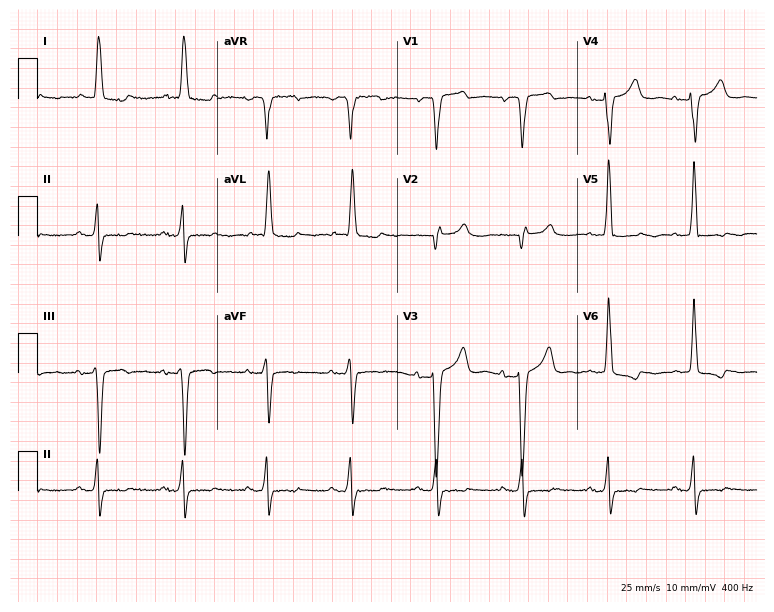
Standard 12-lead ECG recorded from an 81-year-old female patient. None of these six findings is recorded: first-degree AV block, right bundle branch block (RBBB), left bundle branch block (LBBB), sinus bradycardia, atrial fibrillation (AF), sinus tachycardia. Only these six findings were labelled.